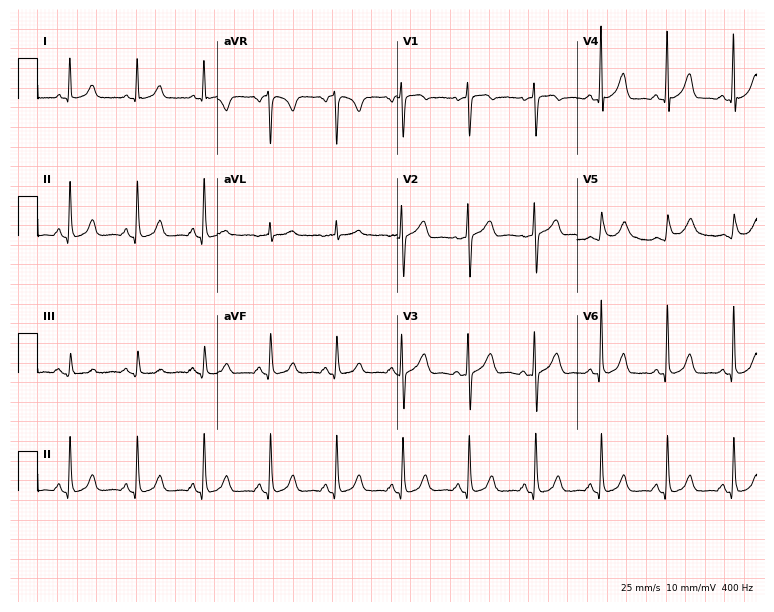
12-lead ECG from a 67-year-old woman. Labelled as a normal ECG.